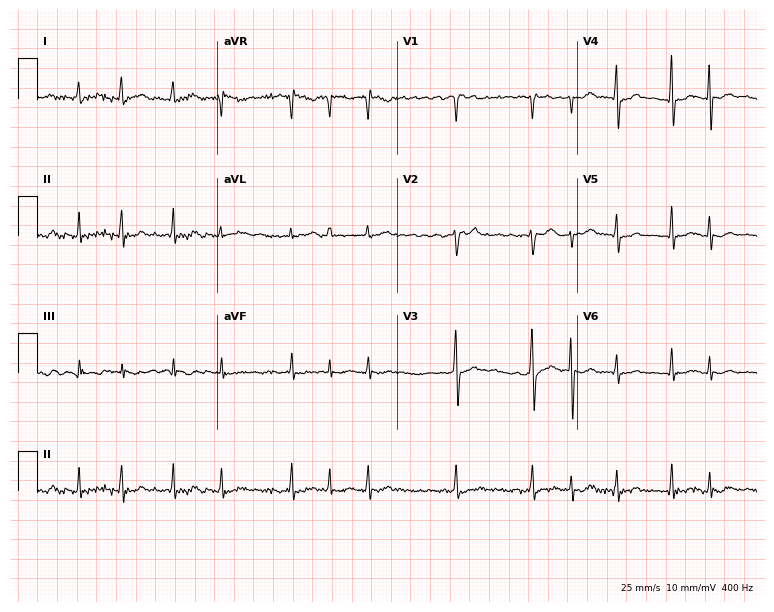
12-lead ECG (7.3-second recording at 400 Hz) from a 45-year-old woman. Screened for six findings — first-degree AV block, right bundle branch block, left bundle branch block, sinus bradycardia, atrial fibrillation, sinus tachycardia — none is recorded. Only these six findings were labelled.